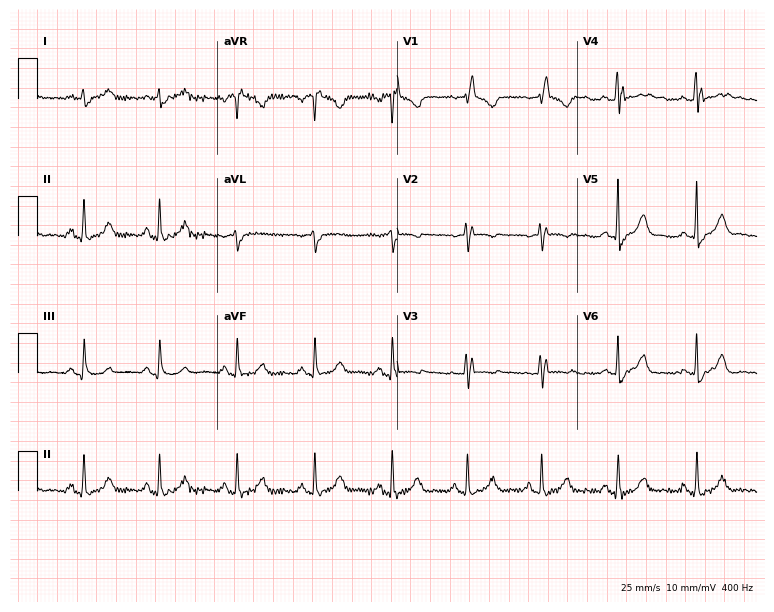
Electrocardiogram (7.3-second recording at 400 Hz), a female patient, 43 years old. Interpretation includes right bundle branch block (RBBB).